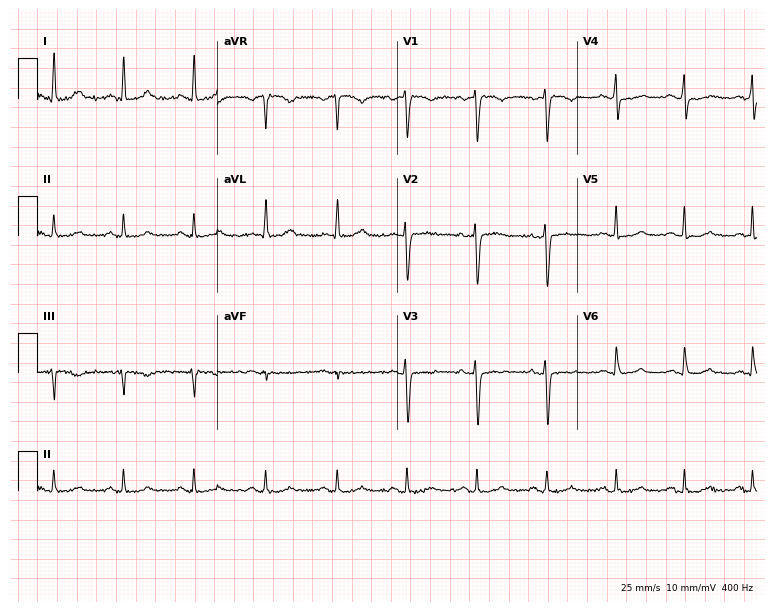
Standard 12-lead ECG recorded from a 44-year-old female patient (7.3-second recording at 400 Hz). None of these six findings is recorded: first-degree AV block, right bundle branch block, left bundle branch block, sinus bradycardia, atrial fibrillation, sinus tachycardia. Only these six findings were labelled.